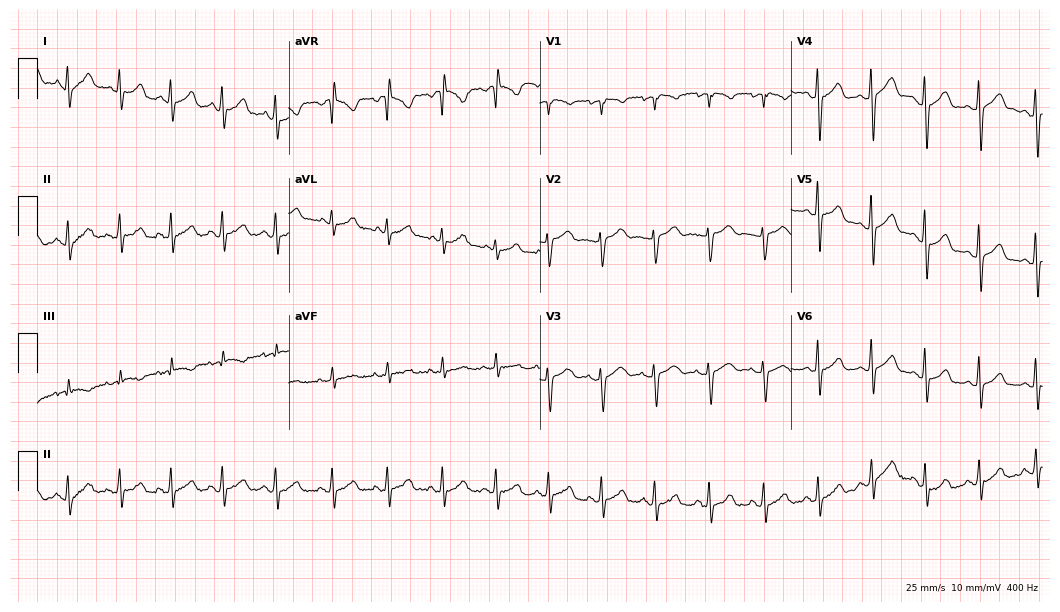
Standard 12-lead ECG recorded from an 18-year-old female (10.2-second recording at 400 Hz). The tracing shows sinus tachycardia (a sinus rate of 100 beats per minute or more).